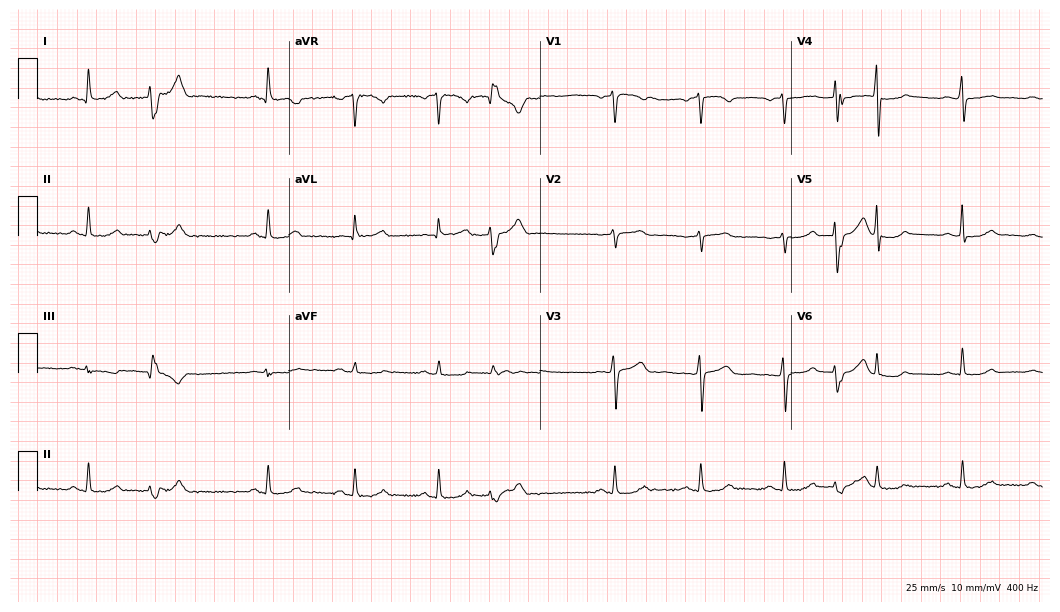
Electrocardiogram (10.2-second recording at 400 Hz), a 46-year-old female. Of the six screened findings (first-degree AV block, right bundle branch block, left bundle branch block, sinus bradycardia, atrial fibrillation, sinus tachycardia), none is recorded.